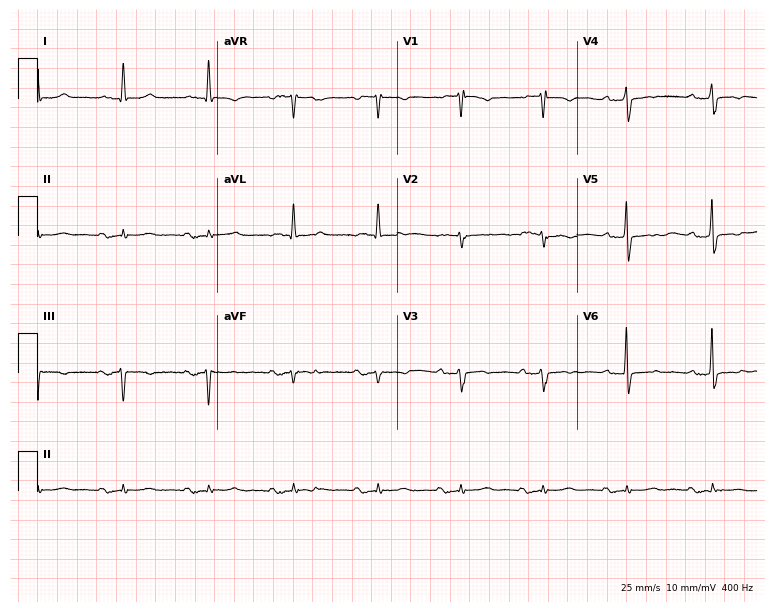
12-lead ECG from a 74-year-old male patient. Shows first-degree AV block.